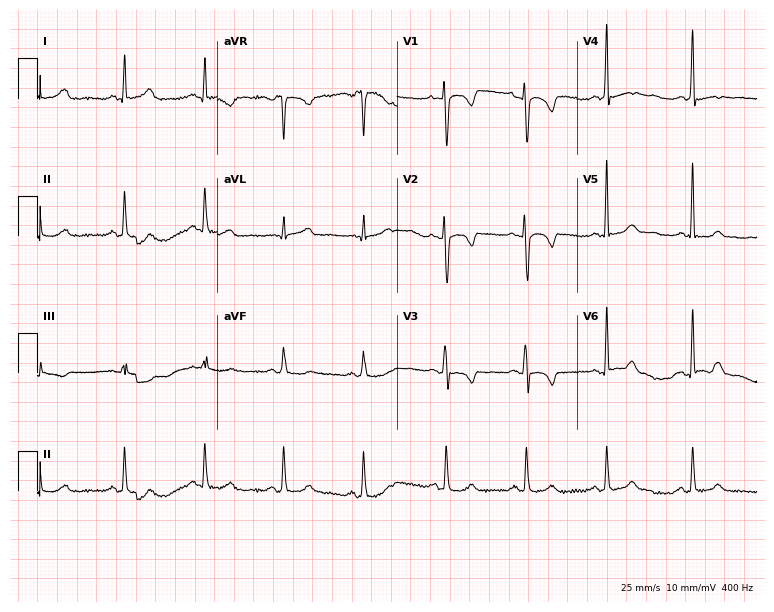
Electrocardiogram (7.3-second recording at 400 Hz), a 38-year-old female. Of the six screened findings (first-degree AV block, right bundle branch block, left bundle branch block, sinus bradycardia, atrial fibrillation, sinus tachycardia), none is recorded. Findings outside these six are not listed.